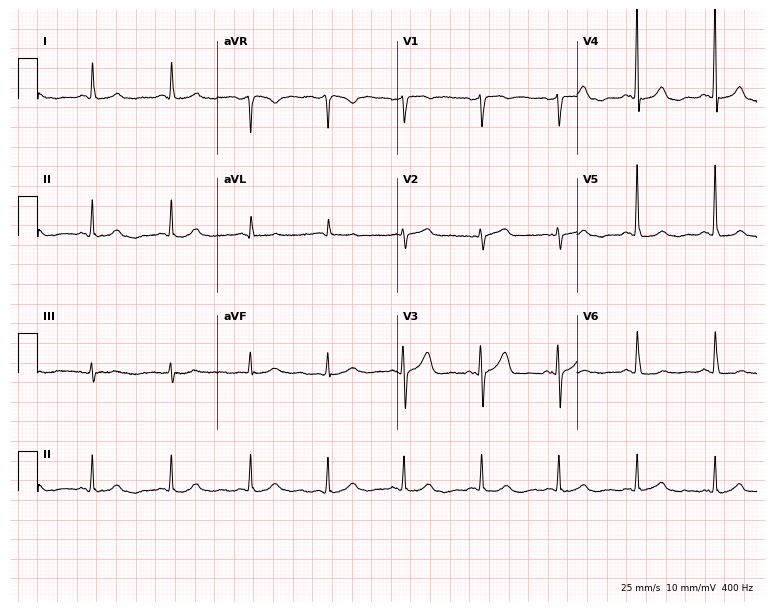
12-lead ECG (7.3-second recording at 400 Hz) from a female patient, 70 years old. Labelled as a normal ECG.